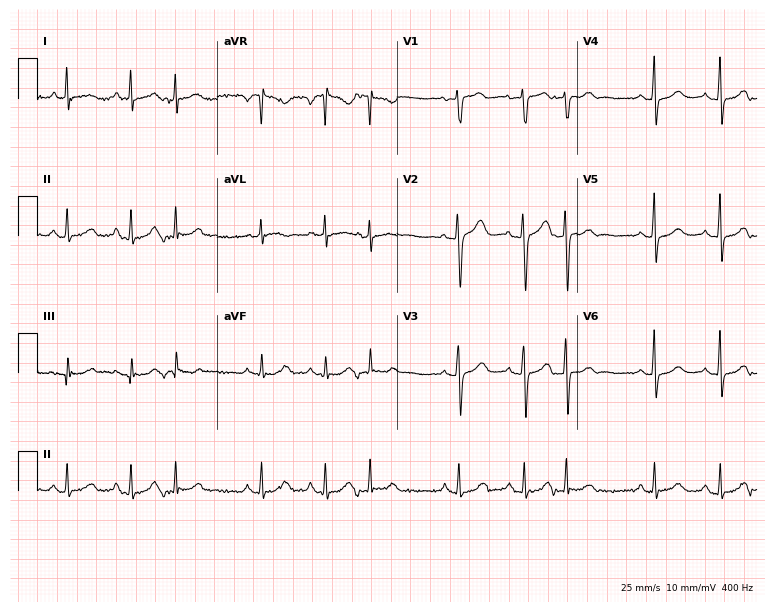
Standard 12-lead ECG recorded from a woman, 67 years old. None of these six findings is recorded: first-degree AV block, right bundle branch block (RBBB), left bundle branch block (LBBB), sinus bradycardia, atrial fibrillation (AF), sinus tachycardia. Findings outside these six are not listed.